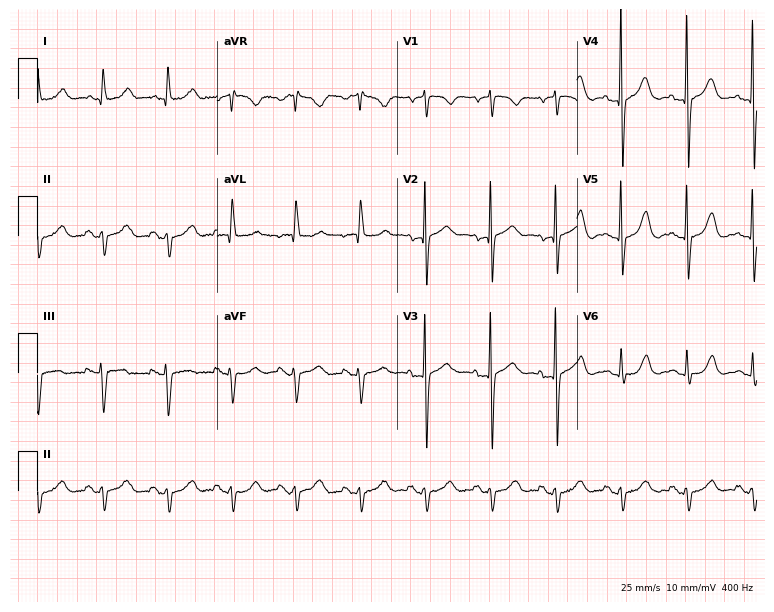
Resting 12-lead electrocardiogram. Patient: an 81-year-old female. None of these six findings is recorded: first-degree AV block, right bundle branch block, left bundle branch block, sinus bradycardia, atrial fibrillation, sinus tachycardia. Other findings, if any, are not listed.